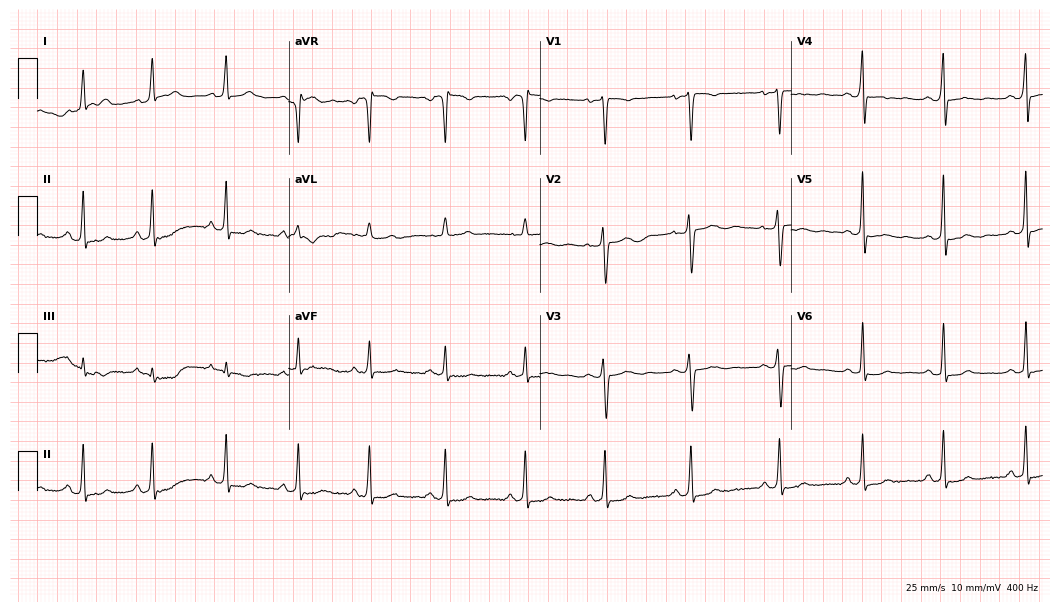
Electrocardiogram, a 30-year-old woman. Of the six screened findings (first-degree AV block, right bundle branch block (RBBB), left bundle branch block (LBBB), sinus bradycardia, atrial fibrillation (AF), sinus tachycardia), none is recorded.